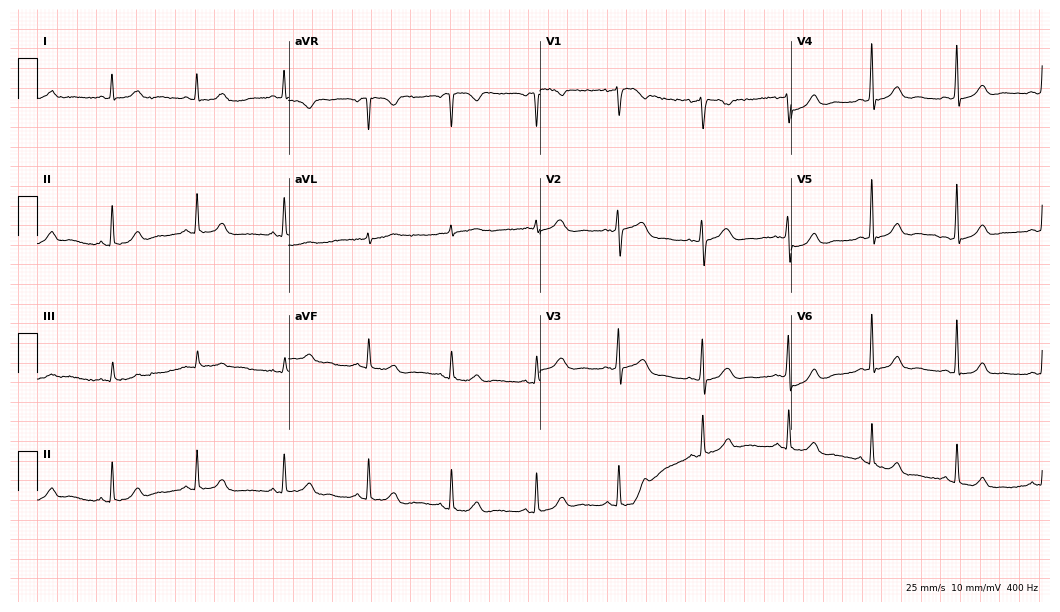
ECG — a female, 55 years old. Screened for six findings — first-degree AV block, right bundle branch block, left bundle branch block, sinus bradycardia, atrial fibrillation, sinus tachycardia — none is recorded.